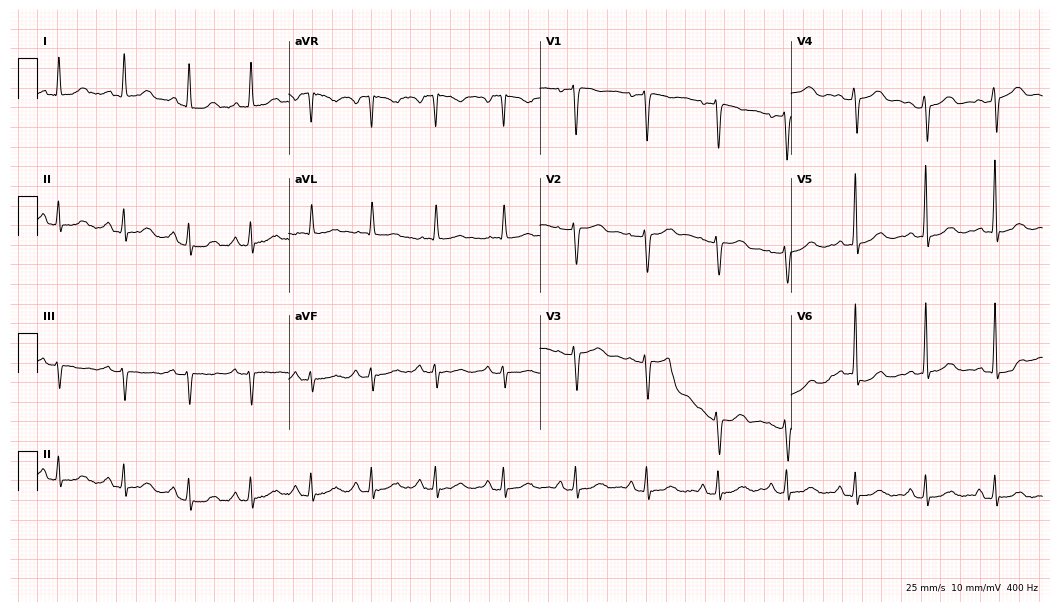
Resting 12-lead electrocardiogram (10.2-second recording at 400 Hz). Patient: a 49-year-old female. None of these six findings is recorded: first-degree AV block, right bundle branch block, left bundle branch block, sinus bradycardia, atrial fibrillation, sinus tachycardia. Findings outside these six are not listed.